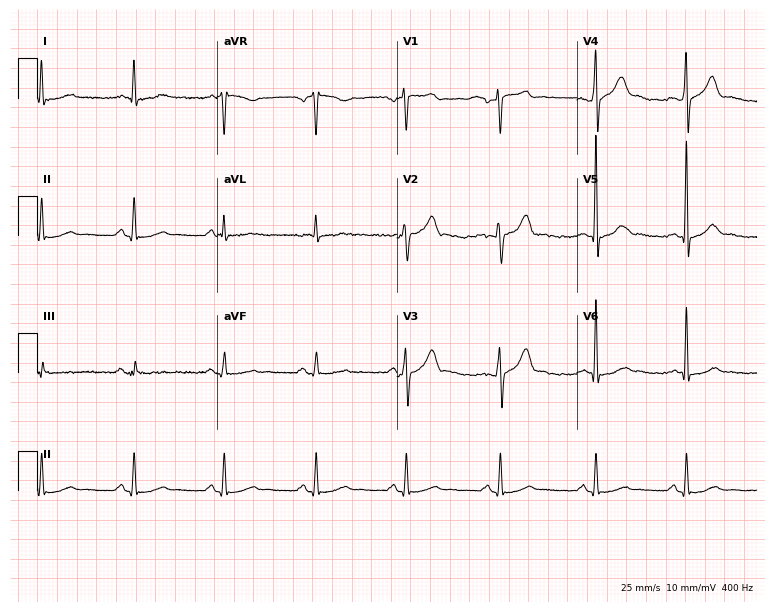
Resting 12-lead electrocardiogram (7.3-second recording at 400 Hz). Patient: a man, 47 years old. Read as a normal ECG.